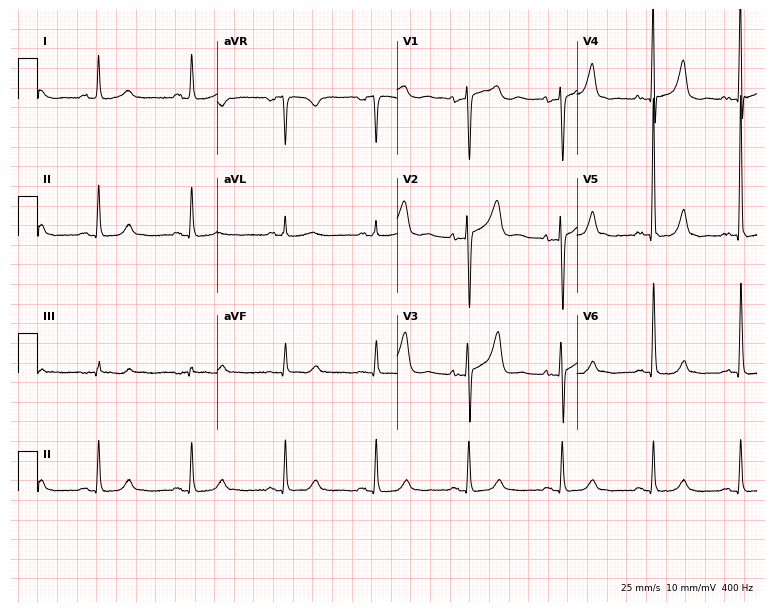
Standard 12-lead ECG recorded from a 65-year-old woman. None of these six findings is recorded: first-degree AV block, right bundle branch block, left bundle branch block, sinus bradycardia, atrial fibrillation, sinus tachycardia.